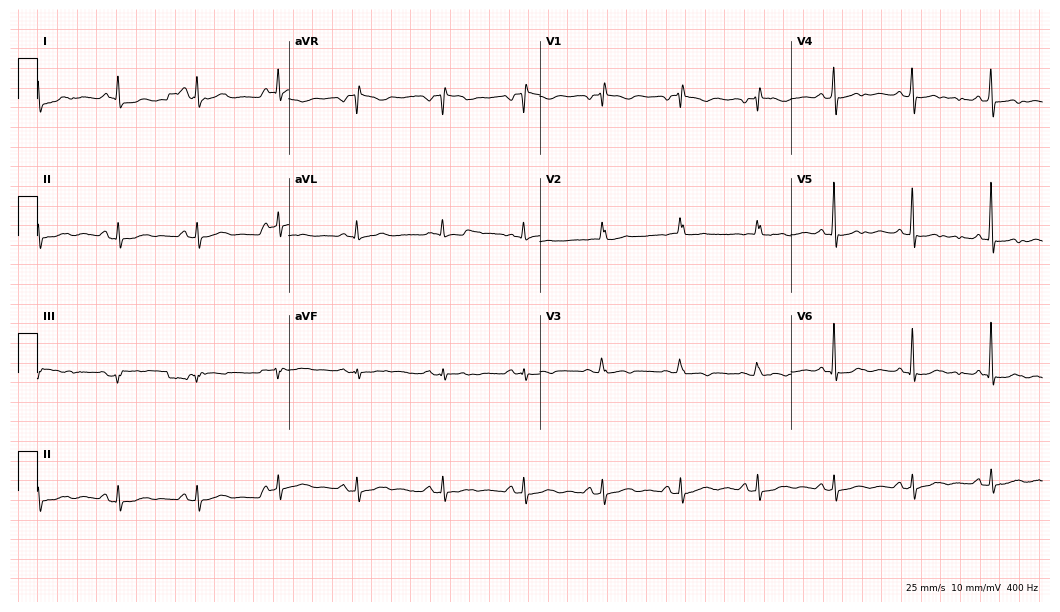
12-lead ECG (10.2-second recording at 400 Hz) from a woman, 80 years old. Screened for six findings — first-degree AV block, right bundle branch block, left bundle branch block, sinus bradycardia, atrial fibrillation, sinus tachycardia — none is recorded. Other findings, if any, are not listed.